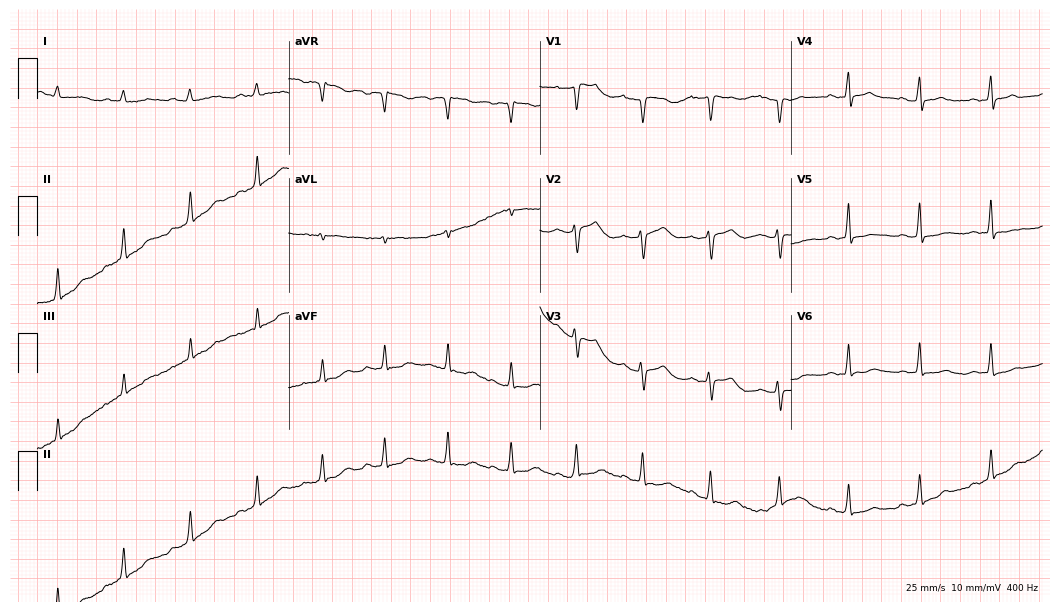
ECG — a female, 83 years old. Screened for six findings — first-degree AV block, right bundle branch block, left bundle branch block, sinus bradycardia, atrial fibrillation, sinus tachycardia — none is recorded. Only these six findings were labelled.